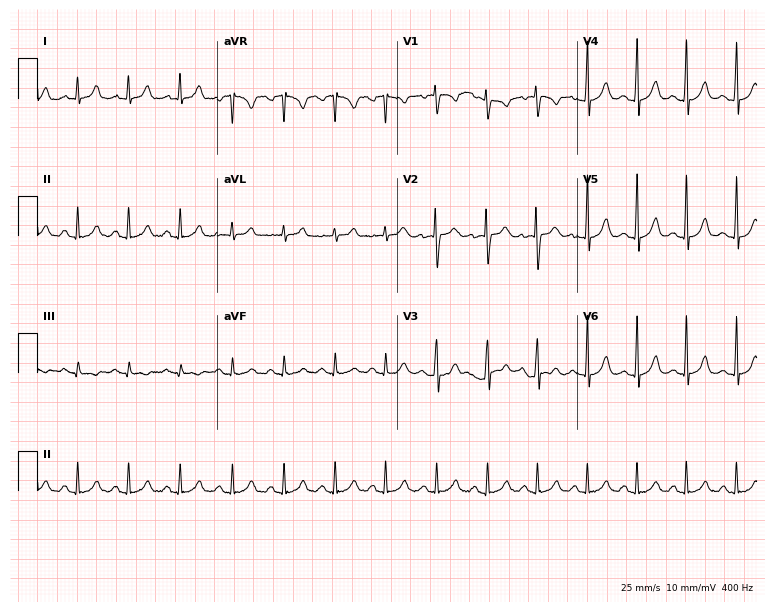
12-lead ECG from a female, 18 years old. Shows sinus tachycardia (a sinus rate of 100 beats per minute or more).